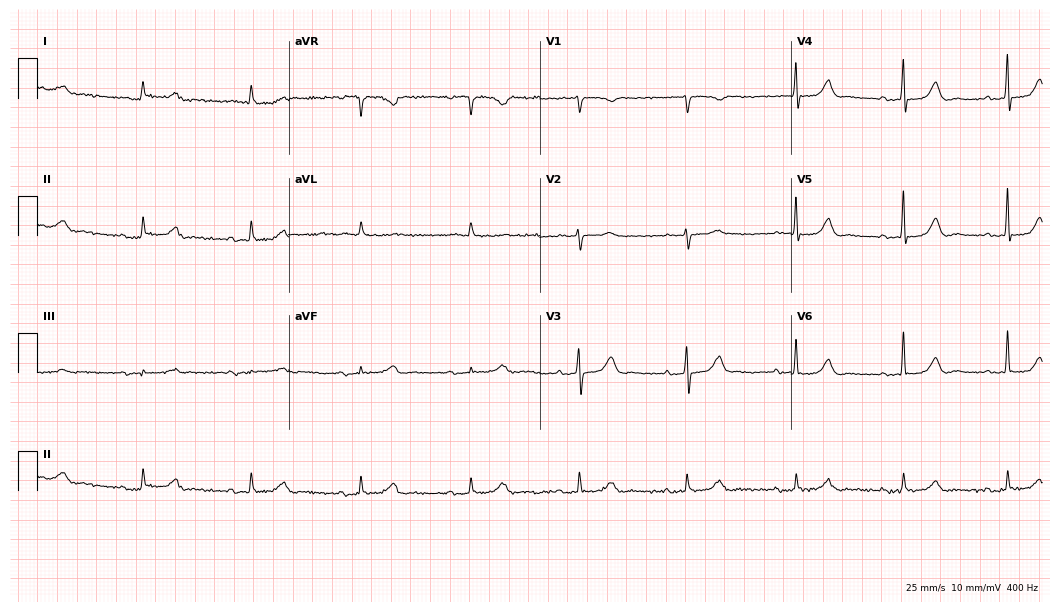
Standard 12-lead ECG recorded from a male patient, 81 years old (10.2-second recording at 400 Hz). None of these six findings is recorded: first-degree AV block, right bundle branch block (RBBB), left bundle branch block (LBBB), sinus bradycardia, atrial fibrillation (AF), sinus tachycardia. Other findings, if any, are not listed.